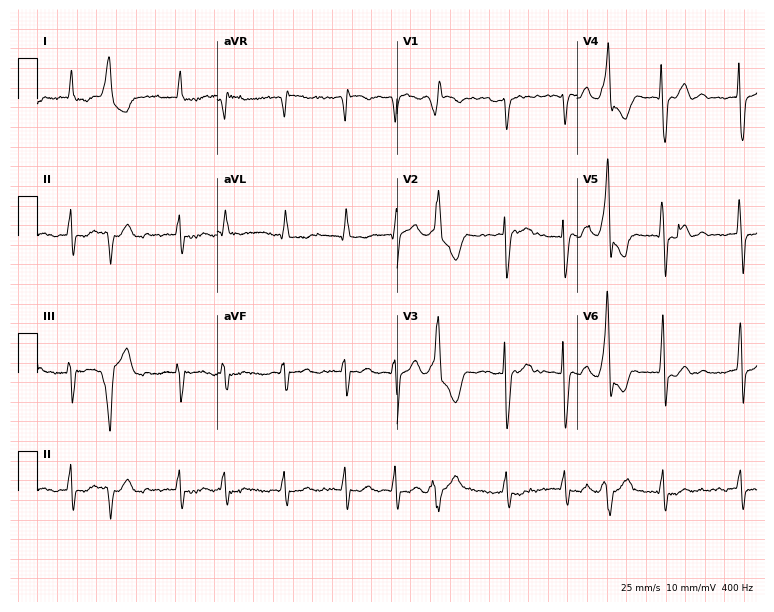
Standard 12-lead ECG recorded from a woman, 80 years old. The tracing shows atrial fibrillation (AF).